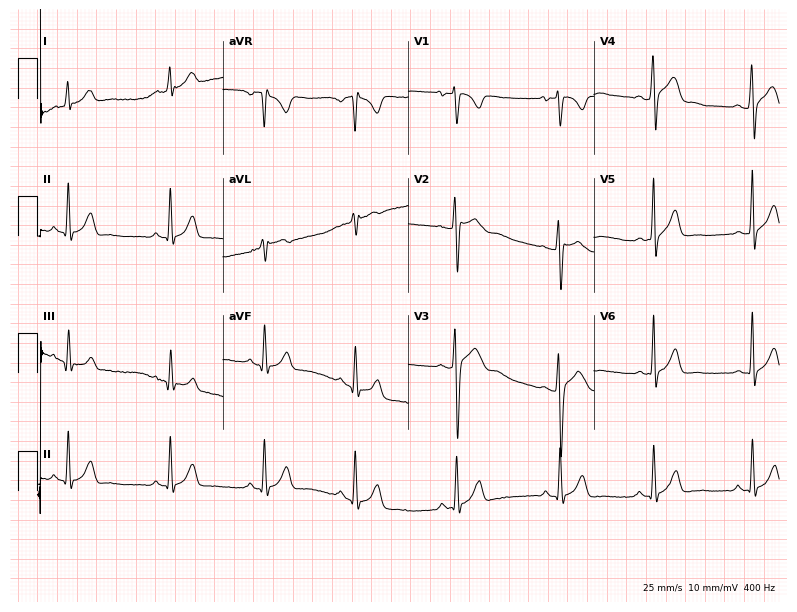
12-lead ECG from a male patient, 19 years old. Recorded interpretation: within normal limits.